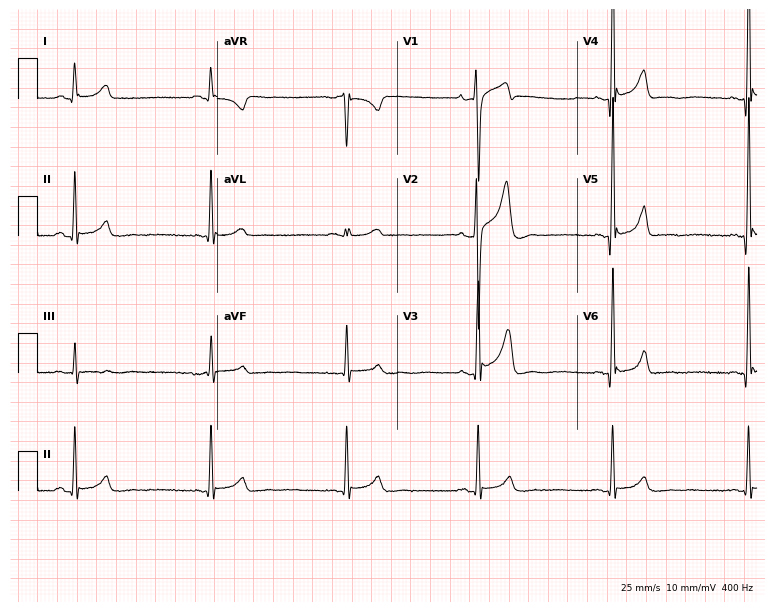
Electrocardiogram, a 21-year-old man. Of the six screened findings (first-degree AV block, right bundle branch block (RBBB), left bundle branch block (LBBB), sinus bradycardia, atrial fibrillation (AF), sinus tachycardia), none is recorded.